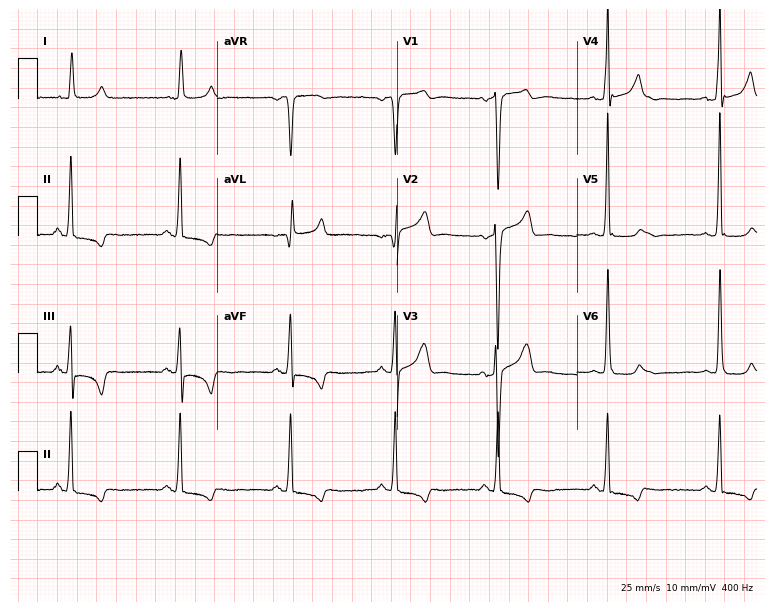
12-lead ECG from a man, 38 years old. No first-degree AV block, right bundle branch block (RBBB), left bundle branch block (LBBB), sinus bradycardia, atrial fibrillation (AF) or sinus tachycardia recorded for this tracing.